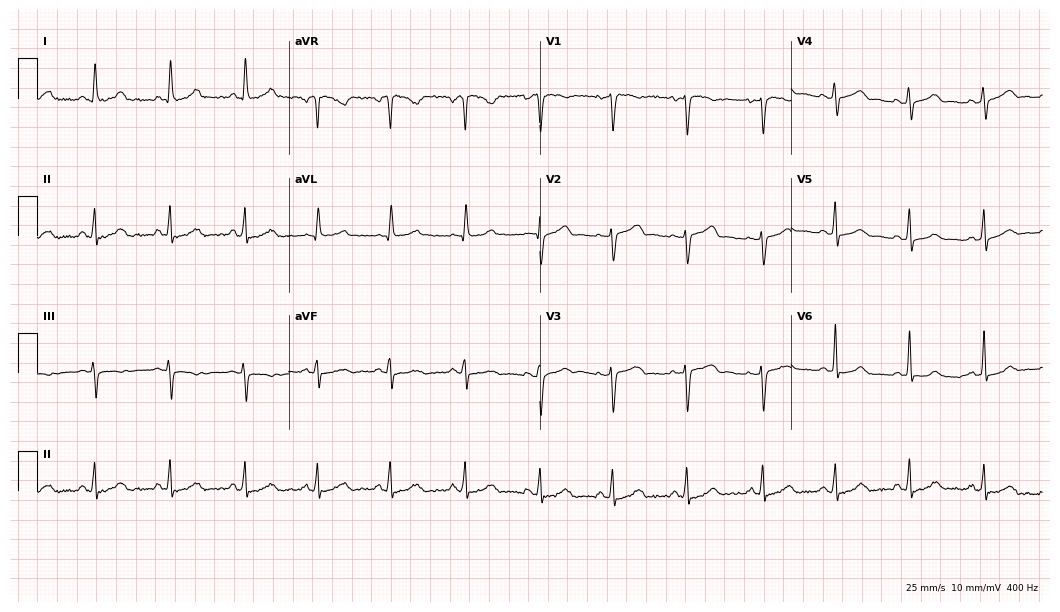
12-lead ECG from a woman, 44 years old. Recorded interpretation: within normal limits.